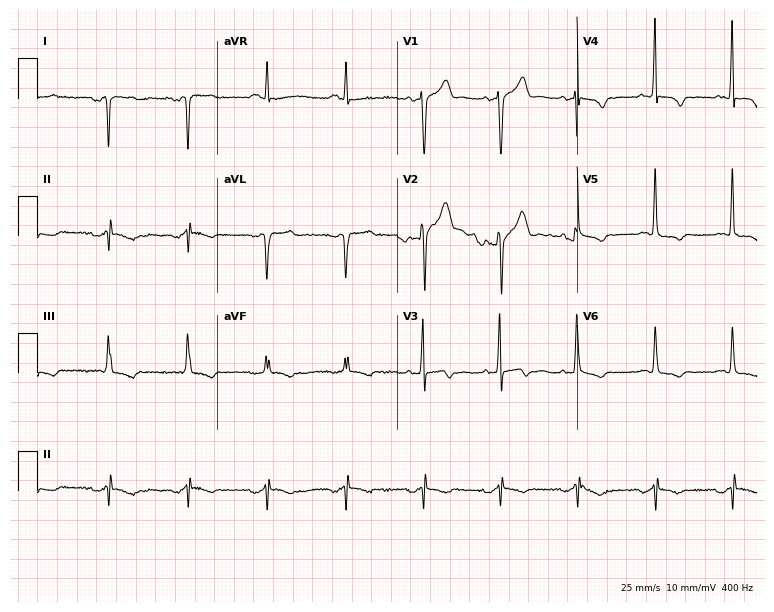
Standard 12-lead ECG recorded from a male patient, 53 years old (7.3-second recording at 400 Hz). None of these six findings is recorded: first-degree AV block, right bundle branch block (RBBB), left bundle branch block (LBBB), sinus bradycardia, atrial fibrillation (AF), sinus tachycardia. Findings outside these six are not listed.